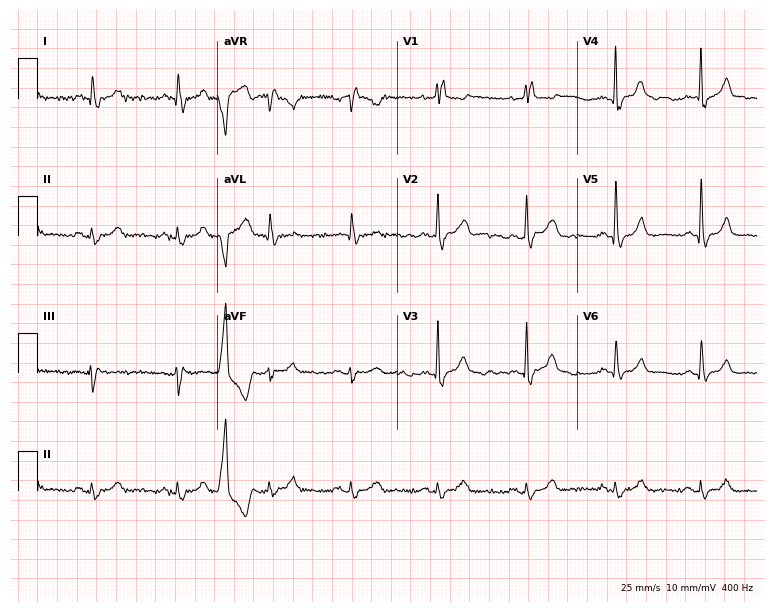
Standard 12-lead ECG recorded from a male, 69 years old. The tracing shows right bundle branch block.